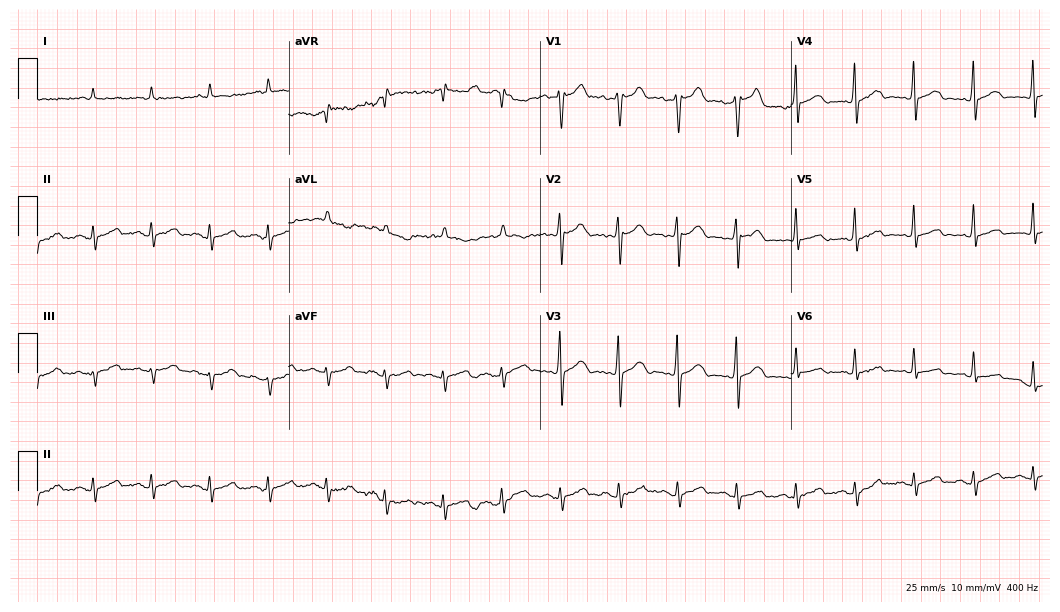
12-lead ECG from an 85-year-old male. Shows sinus tachycardia (a sinus rate of 100 beats per minute or more).